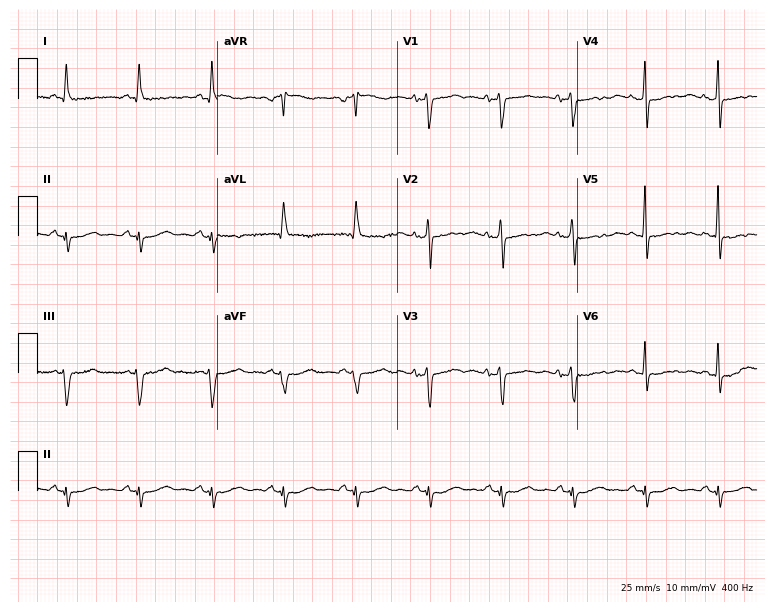
12-lead ECG (7.3-second recording at 400 Hz) from a 53-year-old male. Screened for six findings — first-degree AV block, right bundle branch block, left bundle branch block, sinus bradycardia, atrial fibrillation, sinus tachycardia — none is recorded.